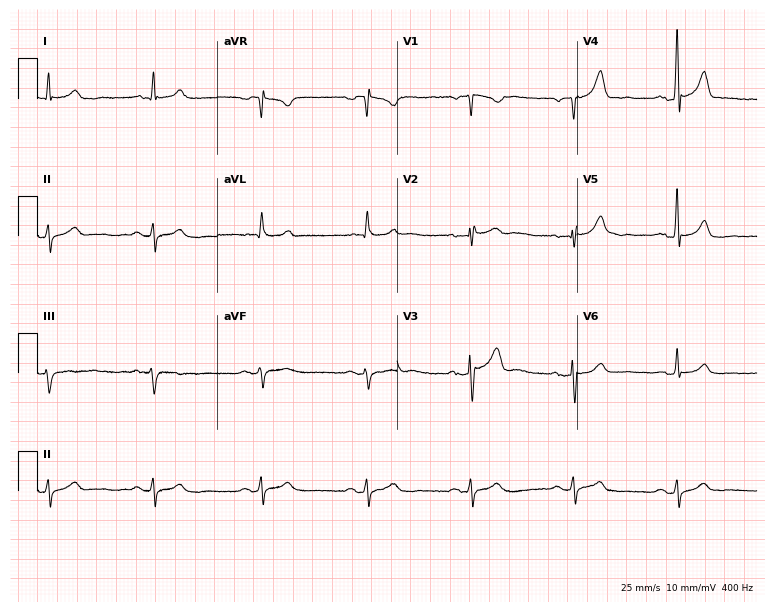
12-lead ECG from a man, 59 years old. Recorded interpretation: within normal limits.